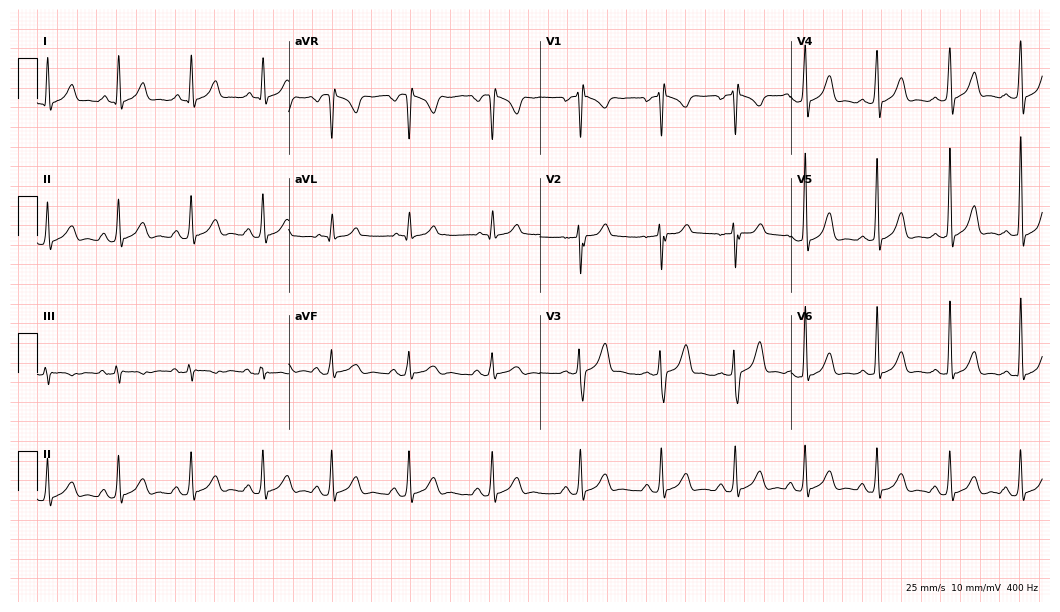
Electrocardiogram, a female, 29 years old. Overall reading on record: normal ECG.